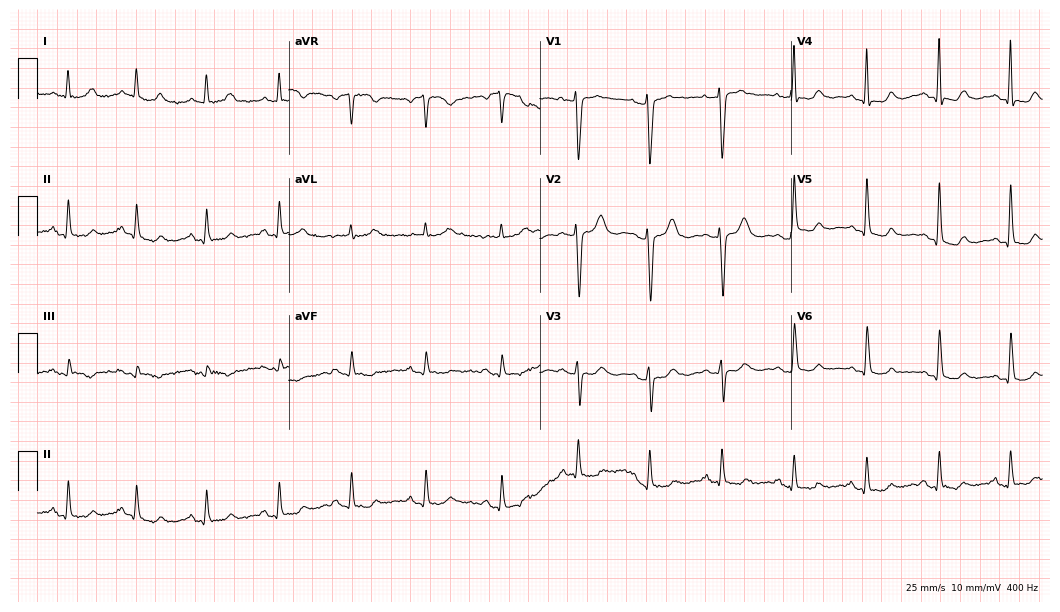
12-lead ECG from a 66-year-old woman. Screened for six findings — first-degree AV block, right bundle branch block, left bundle branch block, sinus bradycardia, atrial fibrillation, sinus tachycardia — none is recorded.